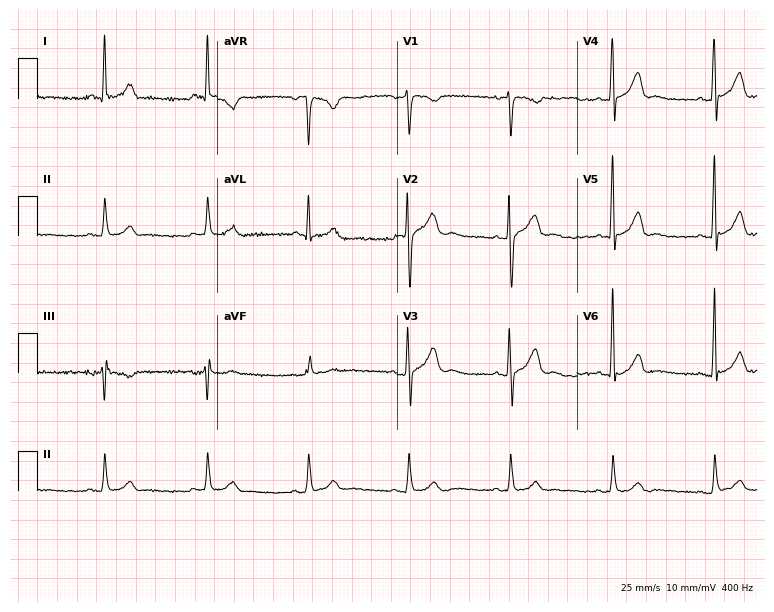
Resting 12-lead electrocardiogram. Patient: a 24-year-old male. Read as a normal ECG.